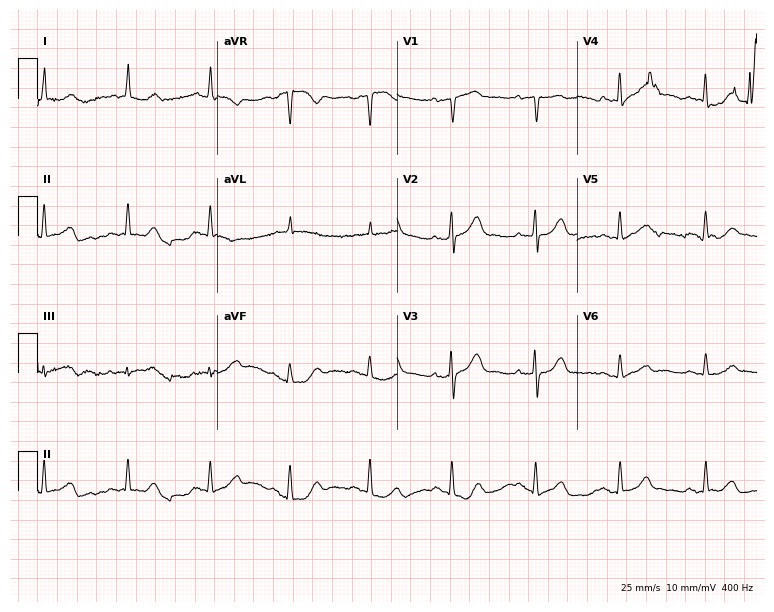
12-lead ECG from a 63-year-old woman. Recorded interpretation: within normal limits.